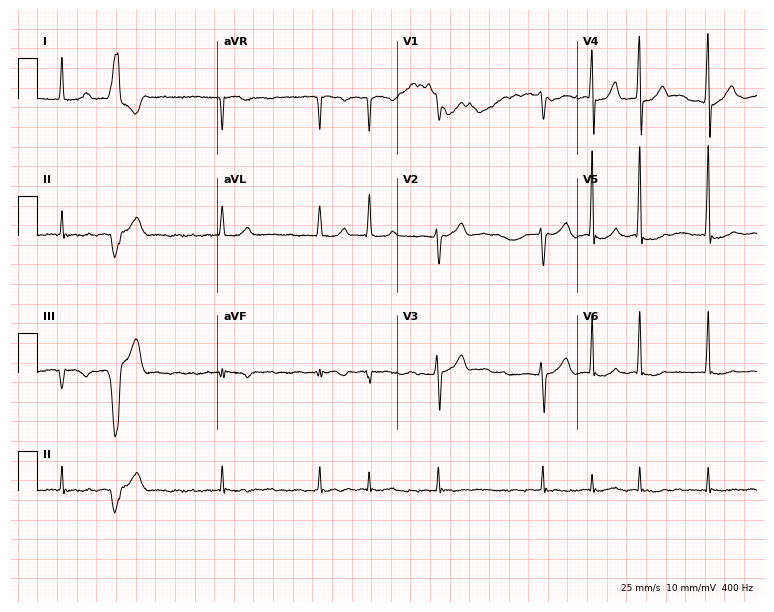
Resting 12-lead electrocardiogram. Patient: a male, 78 years old. The tracing shows atrial fibrillation.